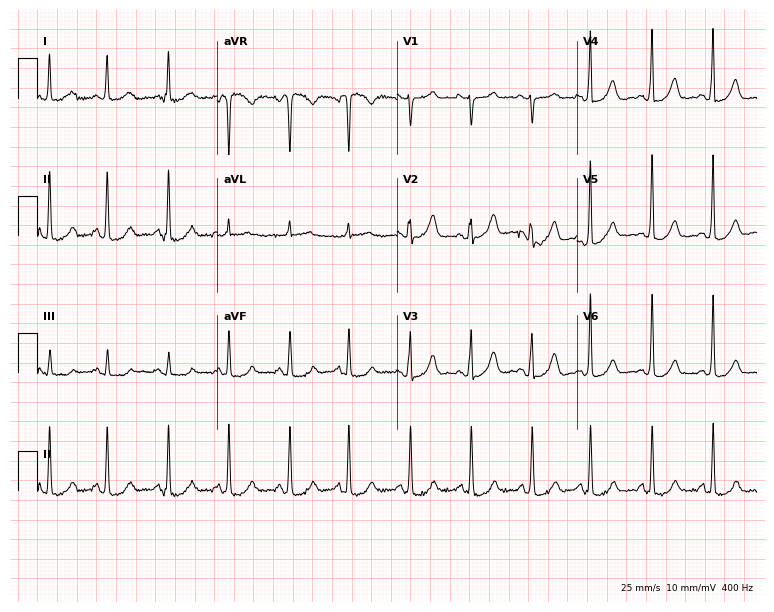
Standard 12-lead ECG recorded from a woman, 79 years old. None of these six findings is recorded: first-degree AV block, right bundle branch block (RBBB), left bundle branch block (LBBB), sinus bradycardia, atrial fibrillation (AF), sinus tachycardia.